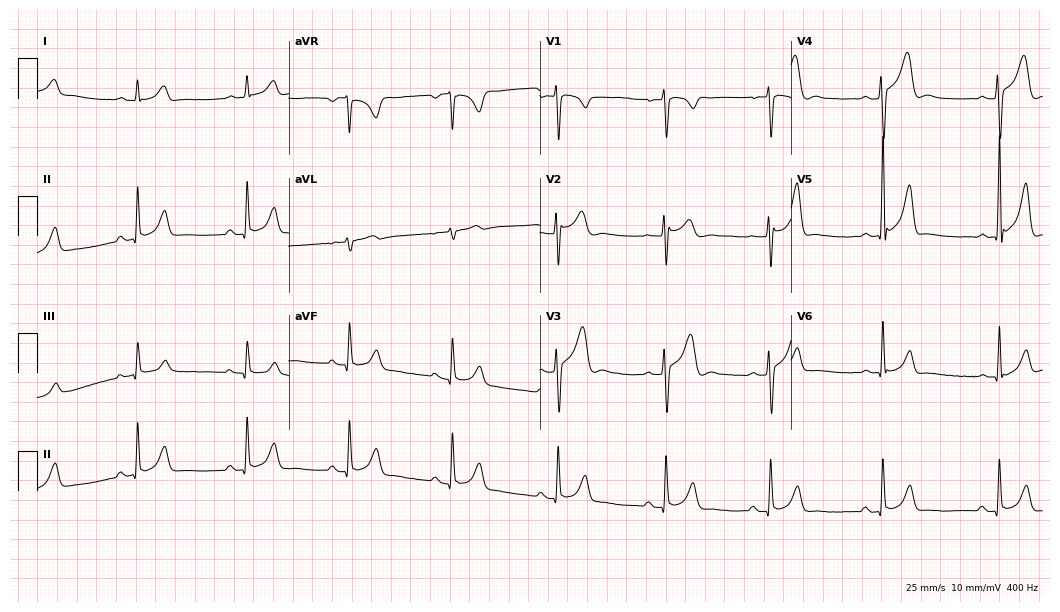
12-lead ECG from a male, 21 years old. Recorded interpretation: within normal limits.